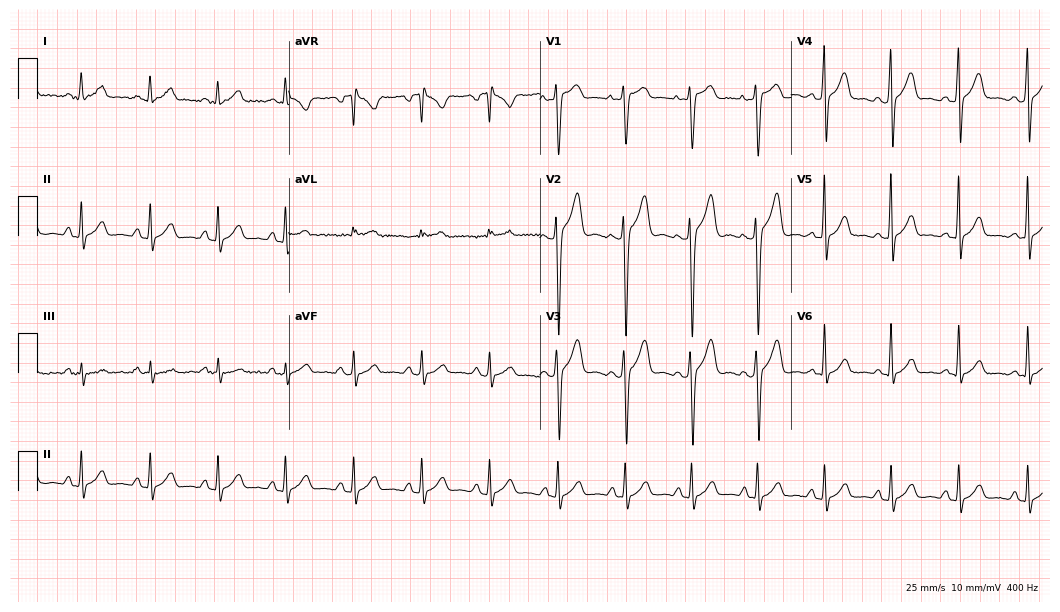
Standard 12-lead ECG recorded from a man, 25 years old (10.2-second recording at 400 Hz). None of these six findings is recorded: first-degree AV block, right bundle branch block (RBBB), left bundle branch block (LBBB), sinus bradycardia, atrial fibrillation (AF), sinus tachycardia.